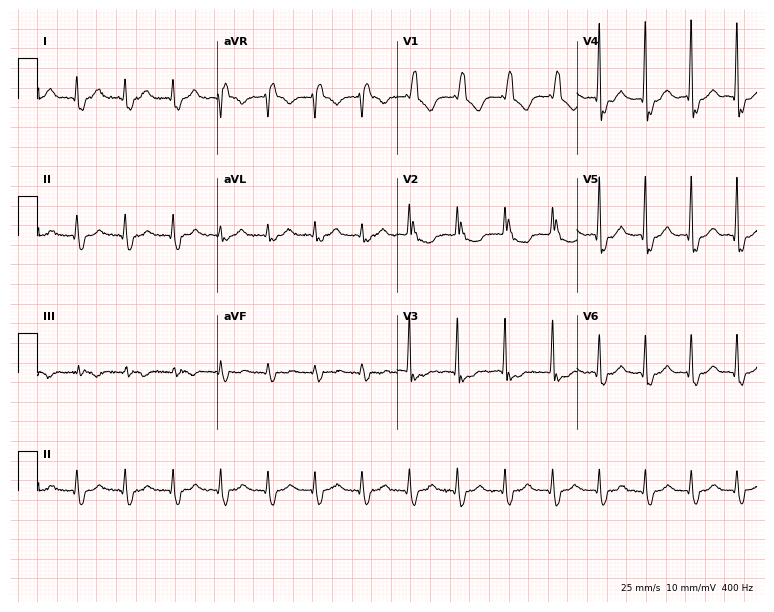
Electrocardiogram (7.3-second recording at 400 Hz), a woman, 76 years old. Interpretation includes right bundle branch block, sinus tachycardia (a sinus rate of 100 beats per minute or more).